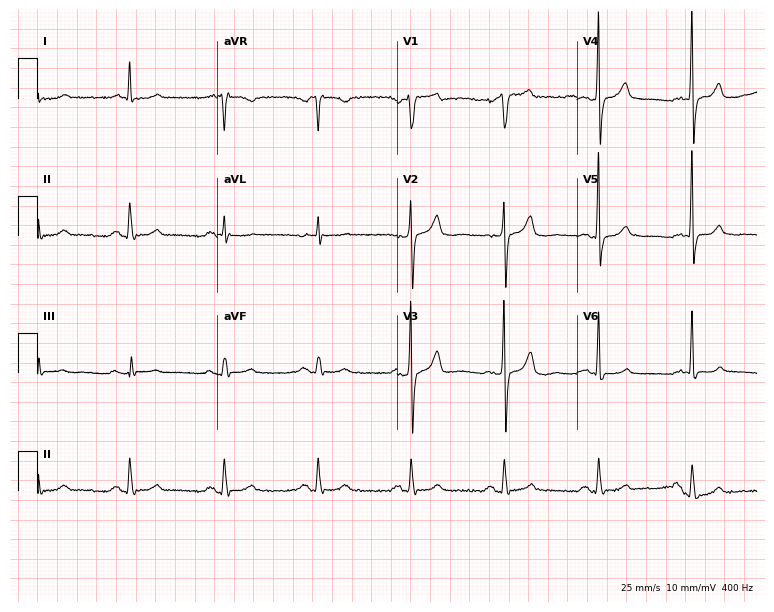
12-lead ECG from a 63-year-old male. Recorded interpretation: within normal limits.